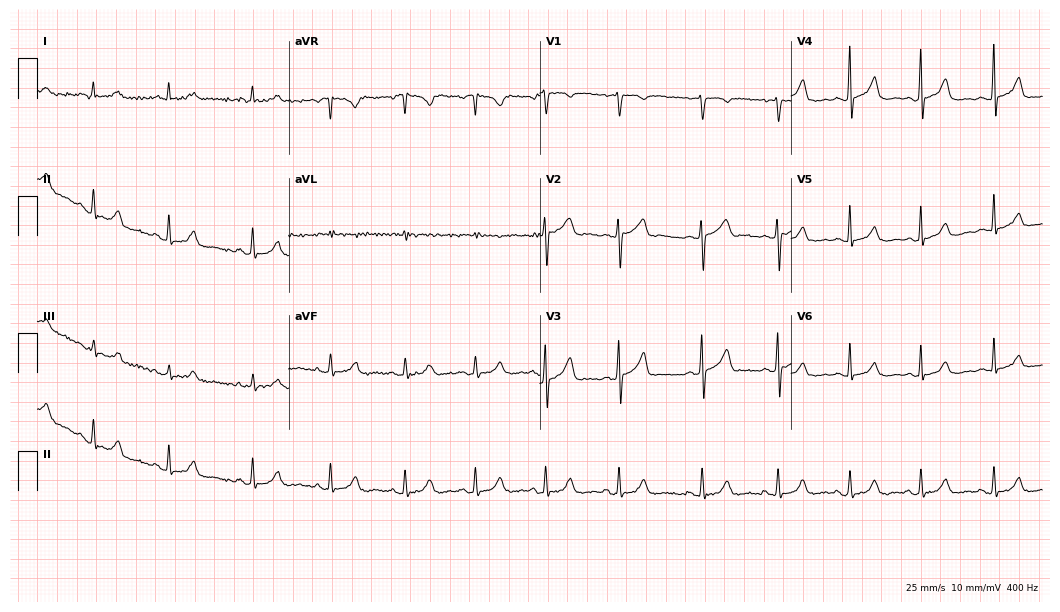
Resting 12-lead electrocardiogram. Patient: a 30-year-old female. Read as a normal ECG.